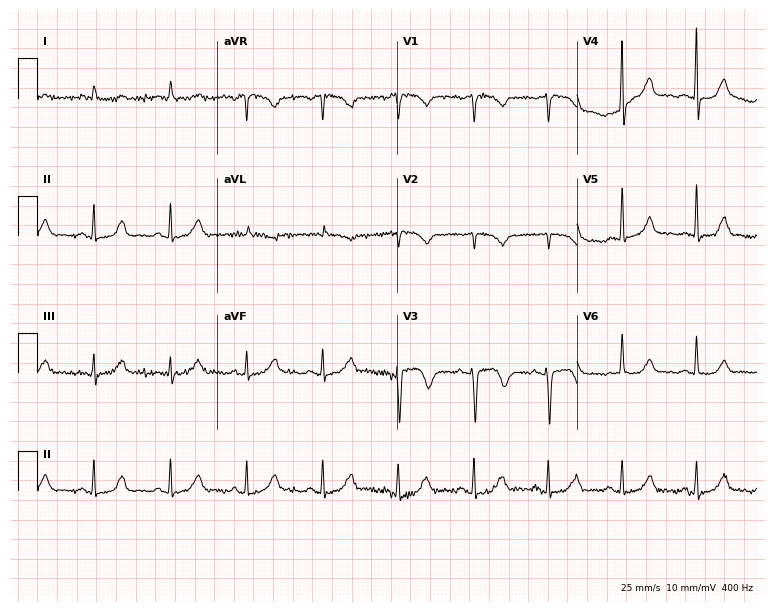
12-lead ECG from a woman, 60 years old. Screened for six findings — first-degree AV block, right bundle branch block, left bundle branch block, sinus bradycardia, atrial fibrillation, sinus tachycardia — none is recorded. Other findings, if any, are not listed.